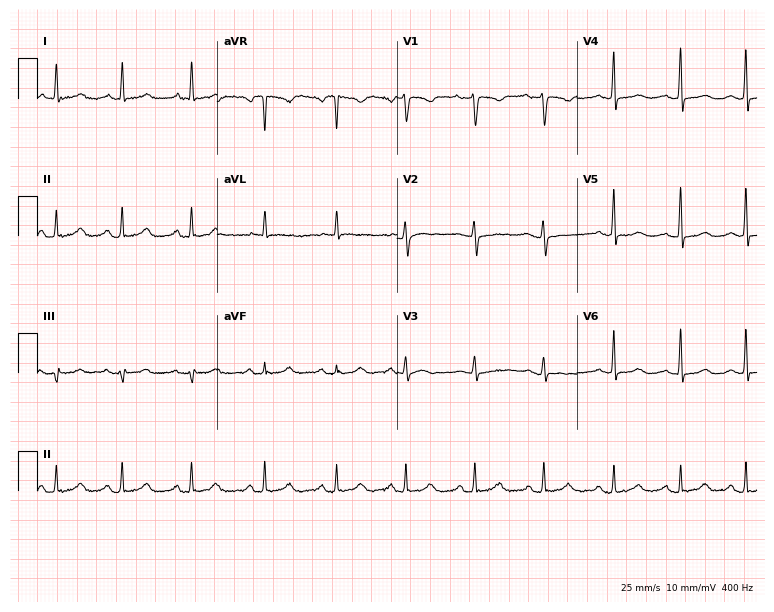
12-lead ECG from a woman, 51 years old. No first-degree AV block, right bundle branch block, left bundle branch block, sinus bradycardia, atrial fibrillation or sinus tachycardia recorded for this tracing.